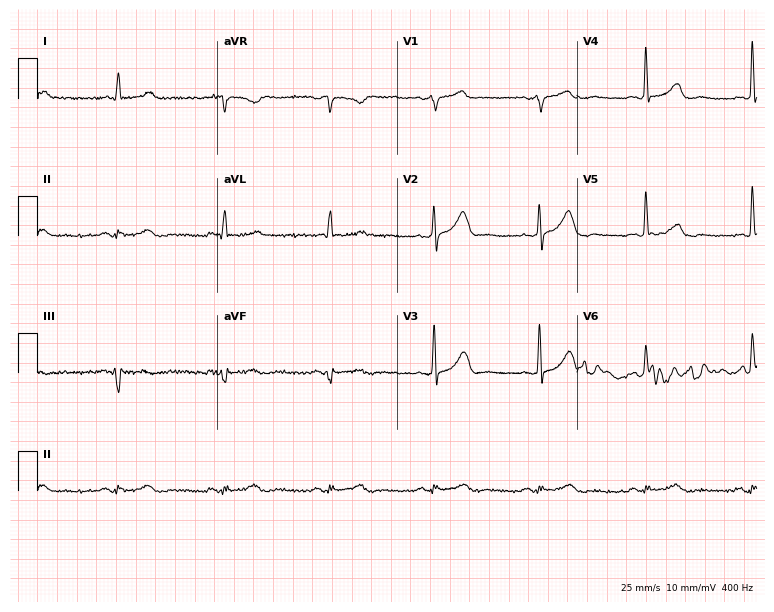
Resting 12-lead electrocardiogram (7.3-second recording at 400 Hz). Patient: a 63-year-old male. None of these six findings is recorded: first-degree AV block, right bundle branch block, left bundle branch block, sinus bradycardia, atrial fibrillation, sinus tachycardia. Other findings, if any, are not listed.